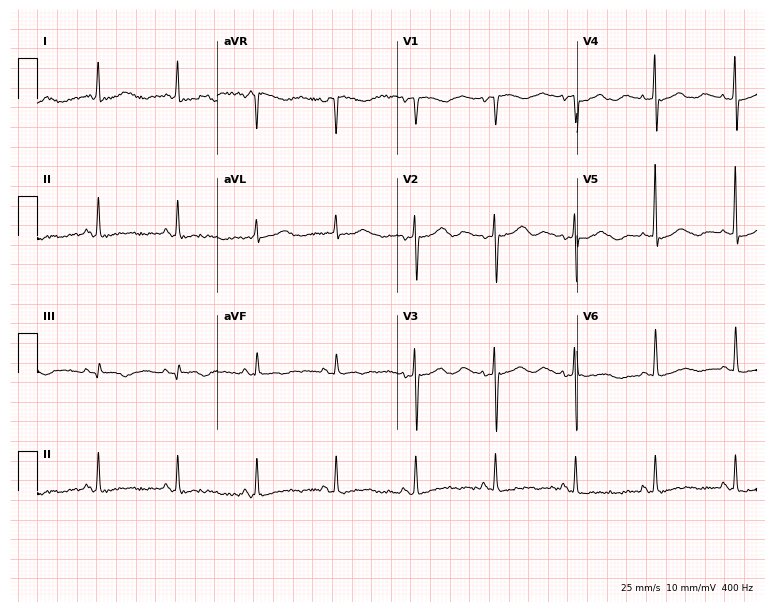
ECG (7.3-second recording at 400 Hz) — a female, 76 years old. Screened for six findings — first-degree AV block, right bundle branch block (RBBB), left bundle branch block (LBBB), sinus bradycardia, atrial fibrillation (AF), sinus tachycardia — none is recorded.